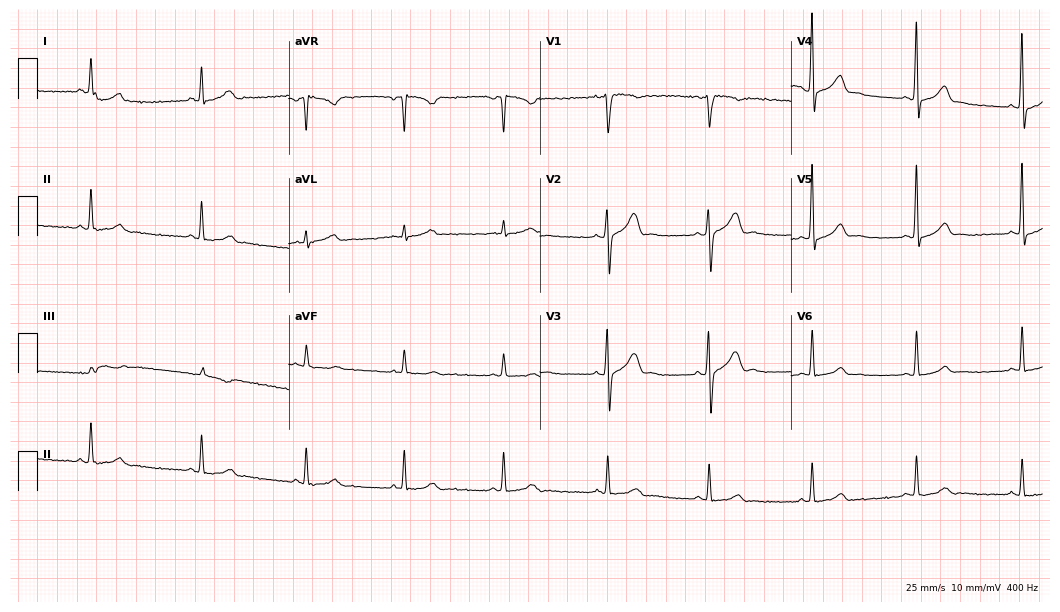
Resting 12-lead electrocardiogram (10.2-second recording at 400 Hz). Patient: a 36-year-old male. Read as a normal ECG.